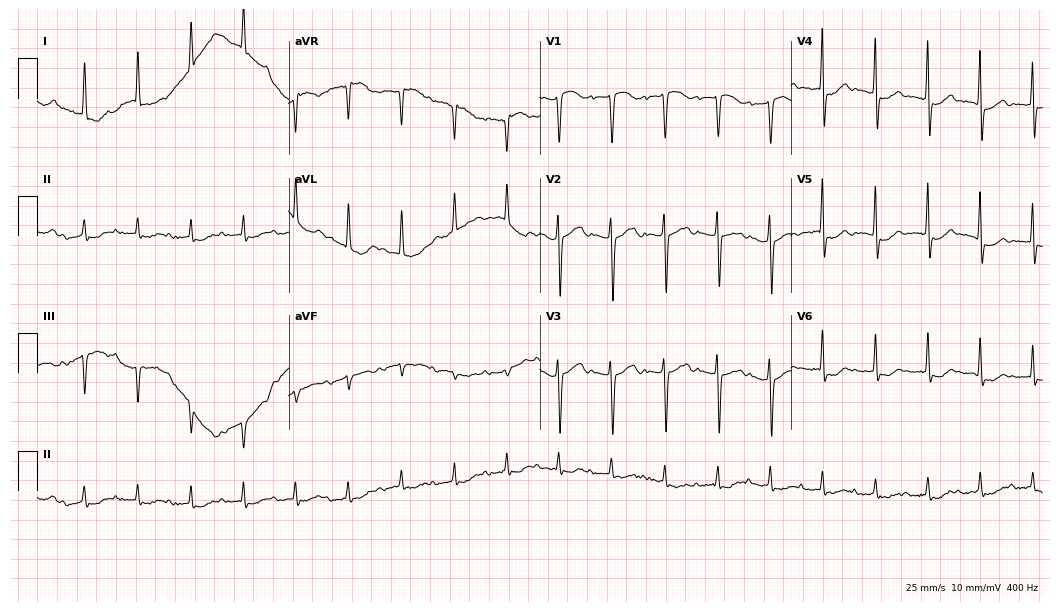
12-lead ECG from a woman, 68 years old. Screened for six findings — first-degree AV block, right bundle branch block, left bundle branch block, sinus bradycardia, atrial fibrillation, sinus tachycardia — none is recorded.